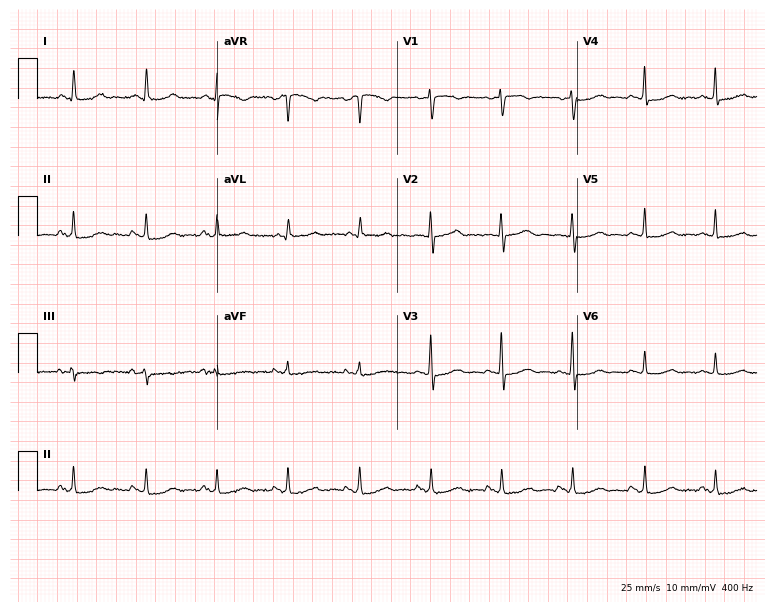
Standard 12-lead ECG recorded from a 51-year-old woman (7.3-second recording at 400 Hz). Read as a normal ECG.